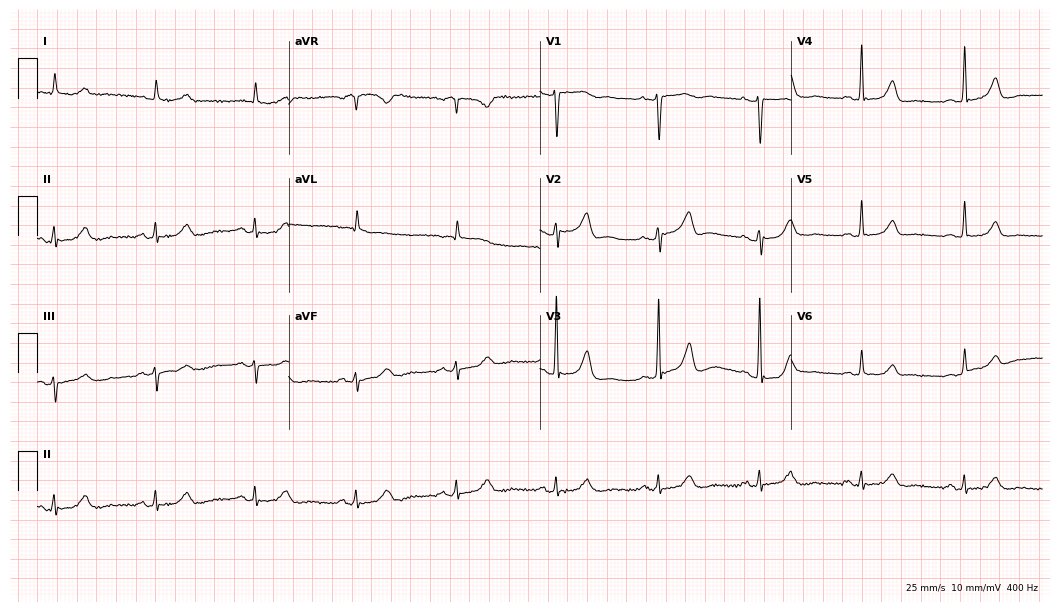
12-lead ECG from a female, 81 years old. No first-degree AV block, right bundle branch block, left bundle branch block, sinus bradycardia, atrial fibrillation or sinus tachycardia recorded for this tracing. Other findings, if any, are not listed.